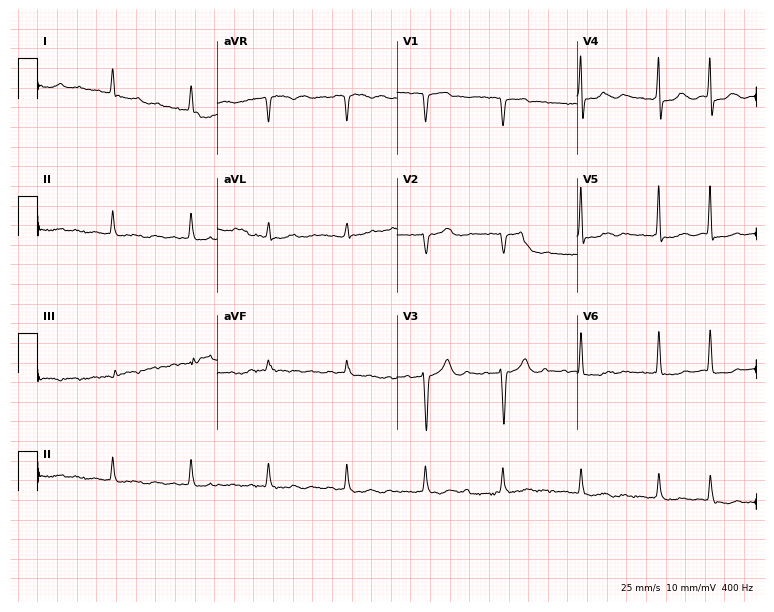
ECG — a female patient, 83 years old. Findings include atrial fibrillation.